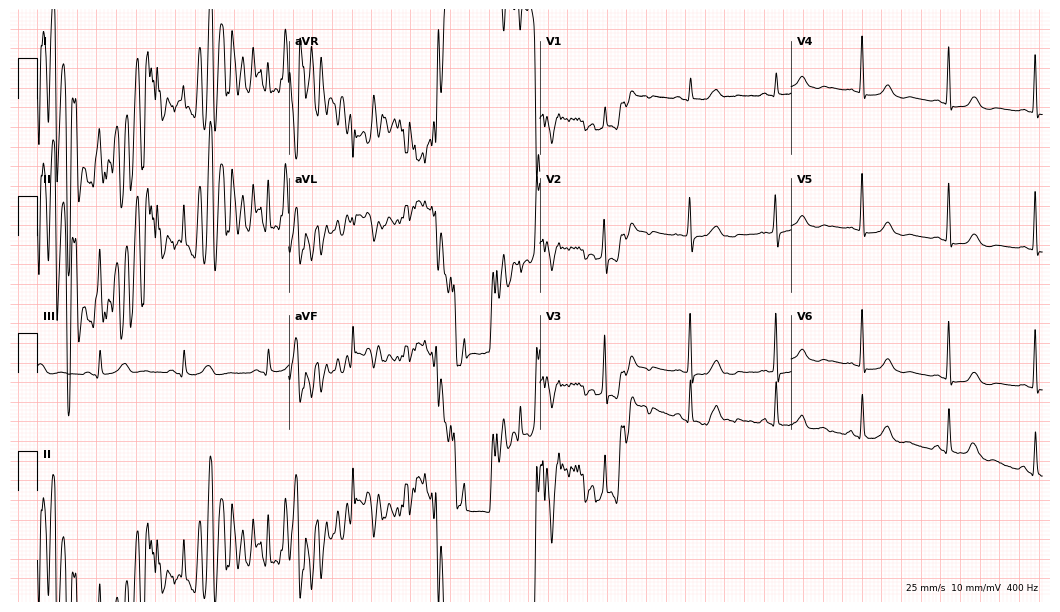
12-lead ECG from a 59-year-old female patient. Screened for six findings — first-degree AV block, right bundle branch block (RBBB), left bundle branch block (LBBB), sinus bradycardia, atrial fibrillation (AF), sinus tachycardia — none is recorded. Only these six findings were labelled.